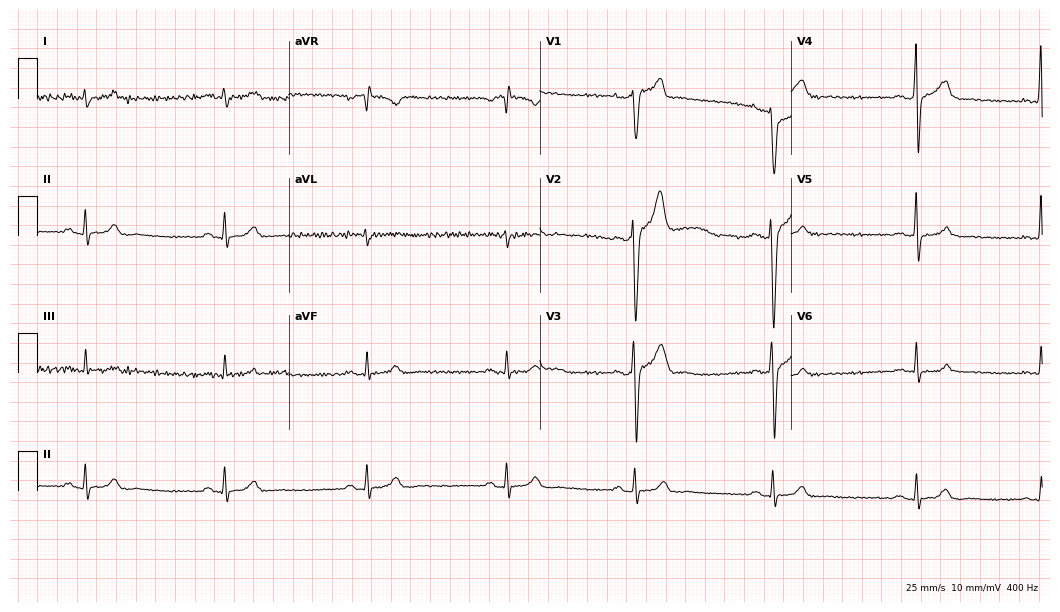
12-lead ECG from a 38-year-old male patient. Screened for six findings — first-degree AV block, right bundle branch block, left bundle branch block, sinus bradycardia, atrial fibrillation, sinus tachycardia — none is recorded.